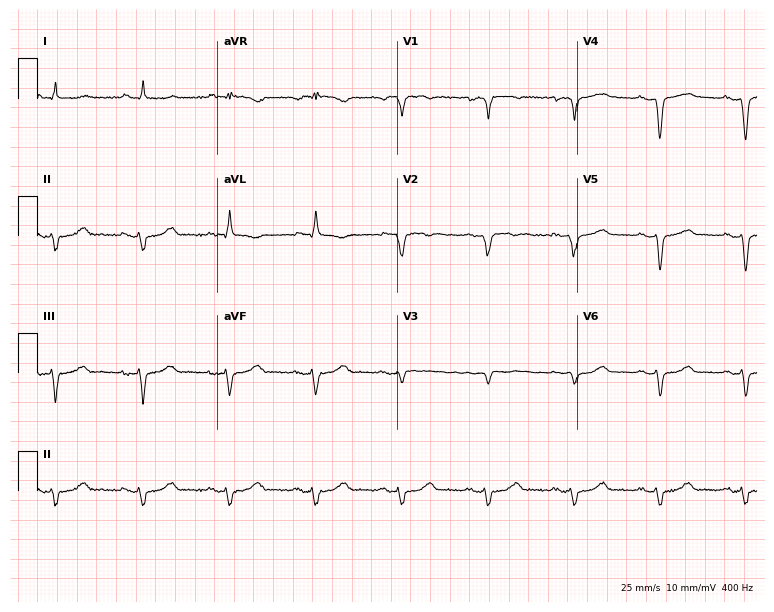
ECG — a 75-year-old male patient. Screened for six findings — first-degree AV block, right bundle branch block, left bundle branch block, sinus bradycardia, atrial fibrillation, sinus tachycardia — none is recorded.